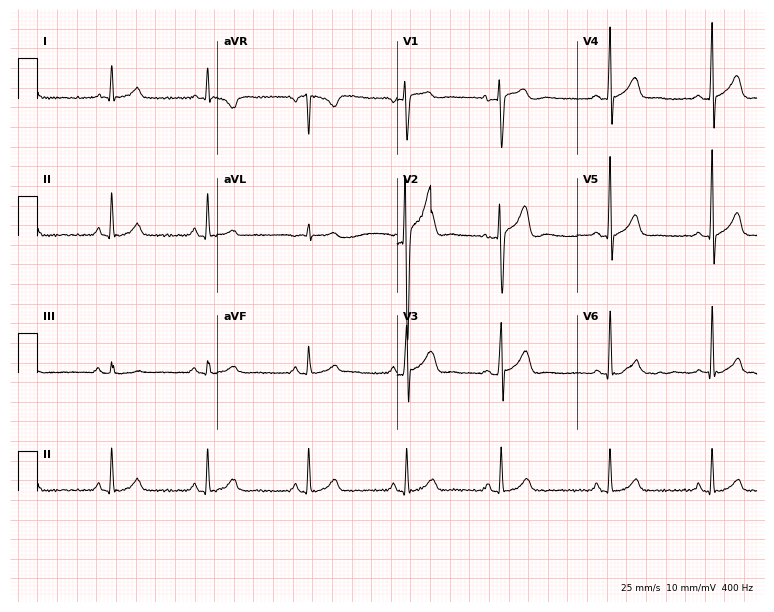
Electrocardiogram (7.3-second recording at 400 Hz), a man, 31 years old. Overall reading on record: normal ECG.